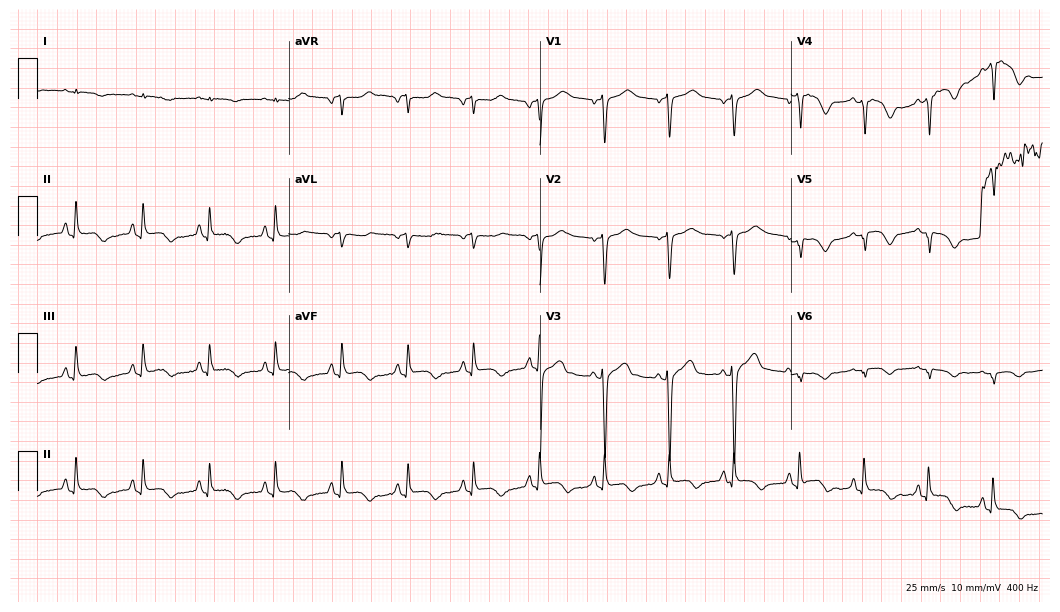
12-lead ECG from a female patient, 68 years old (10.2-second recording at 400 Hz). No first-degree AV block, right bundle branch block (RBBB), left bundle branch block (LBBB), sinus bradycardia, atrial fibrillation (AF) or sinus tachycardia recorded for this tracing. Findings outside these six are not listed.